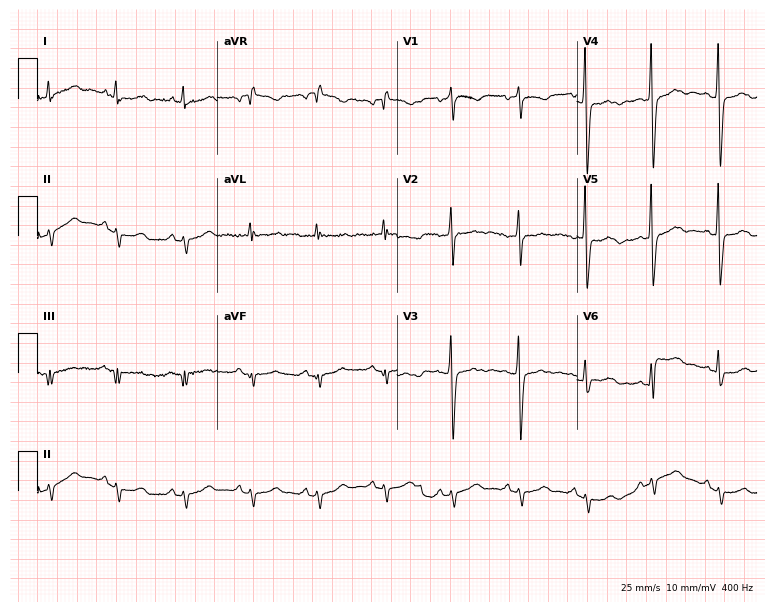
ECG — a 45-year-old woman. Screened for six findings — first-degree AV block, right bundle branch block, left bundle branch block, sinus bradycardia, atrial fibrillation, sinus tachycardia — none is recorded. Other findings, if any, are not listed.